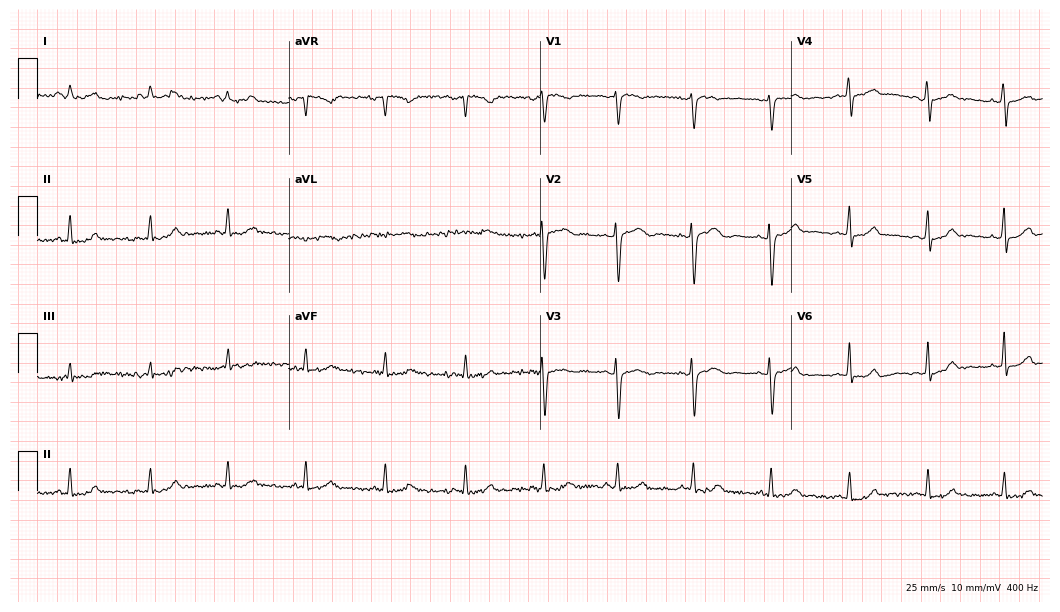
Standard 12-lead ECG recorded from a 27-year-old woman. Read as a normal ECG.